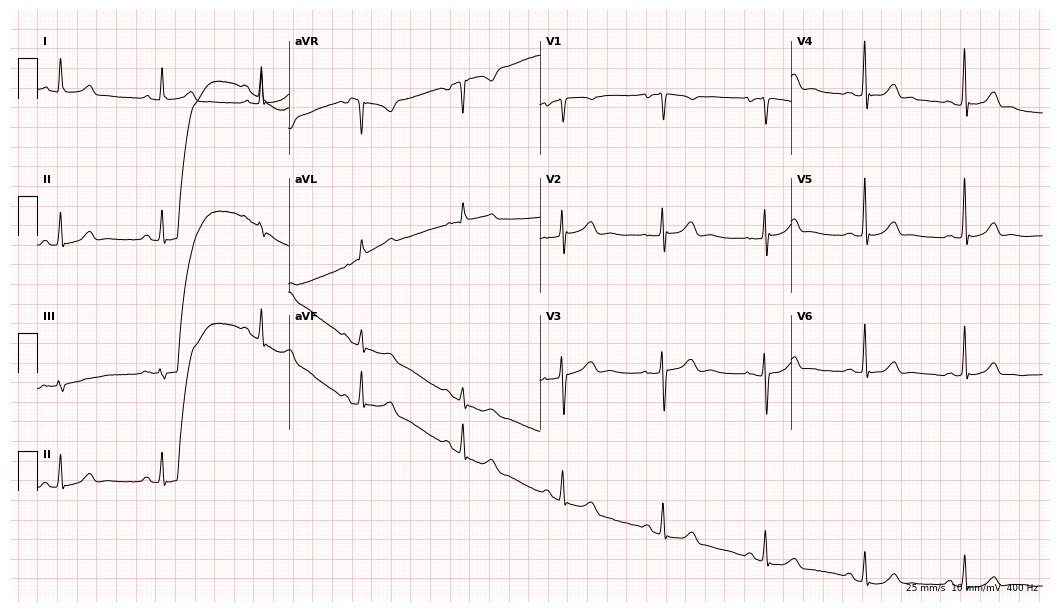
12-lead ECG from a 45-year-old woman. Screened for six findings — first-degree AV block, right bundle branch block, left bundle branch block, sinus bradycardia, atrial fibrillation, sinus tachycardia — none is recorded.